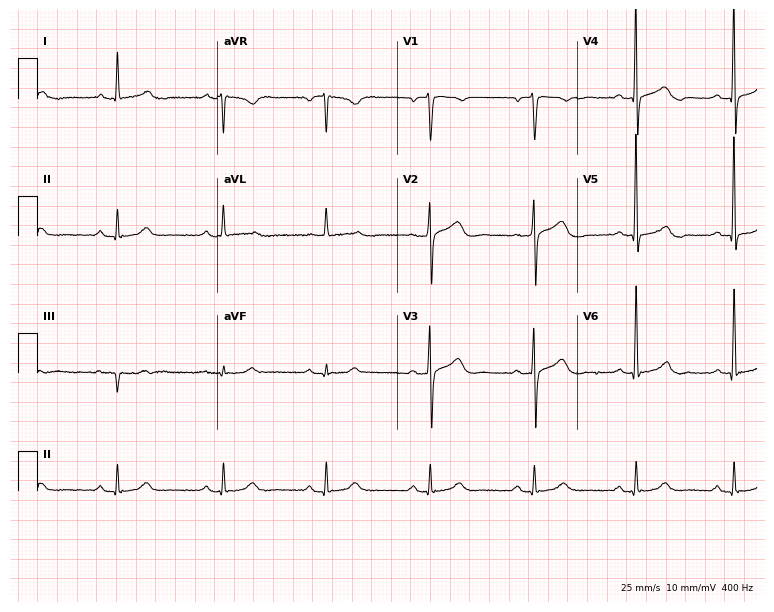
12-lead ECG from a man, 68 years old. Labelled as a normal ECG.